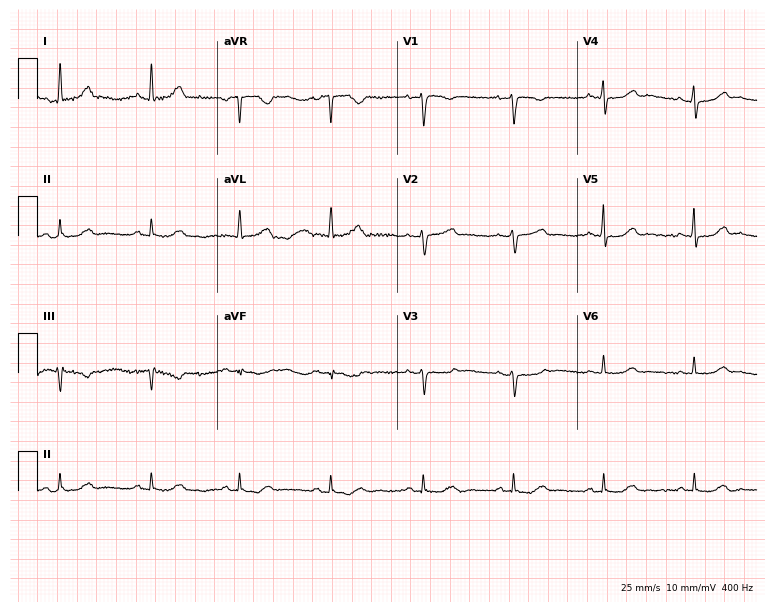
ECG (7.3-second recording at 400 Hz) — a female, 67 years old. Labelled as a normal ECG.